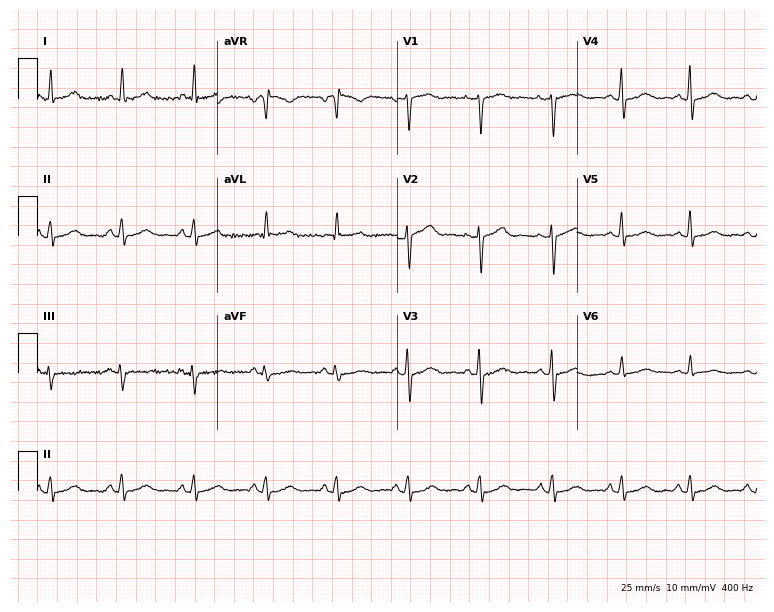
Resting 12-lead electrocardiogram (7.3-second recording at 400 Hz). Patient: a female, 48 years old. Read as a normal ECG.